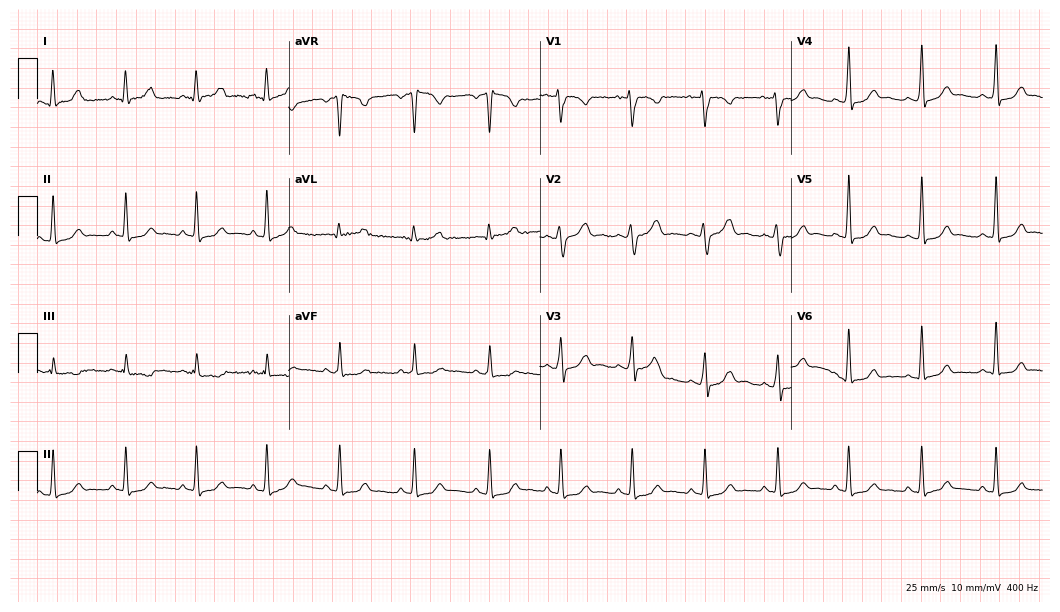
ECG — a female patient, 28 years old. Labelled as a normal ECG.